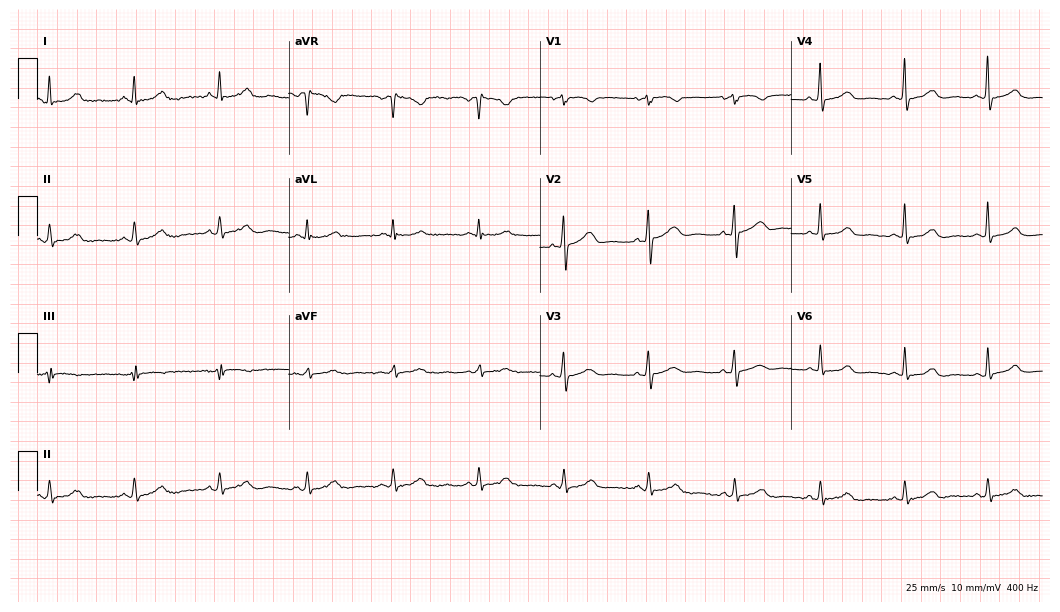
12-lead ECG from a female patient, 48 years old. Recorded interpretation: within normal limits.